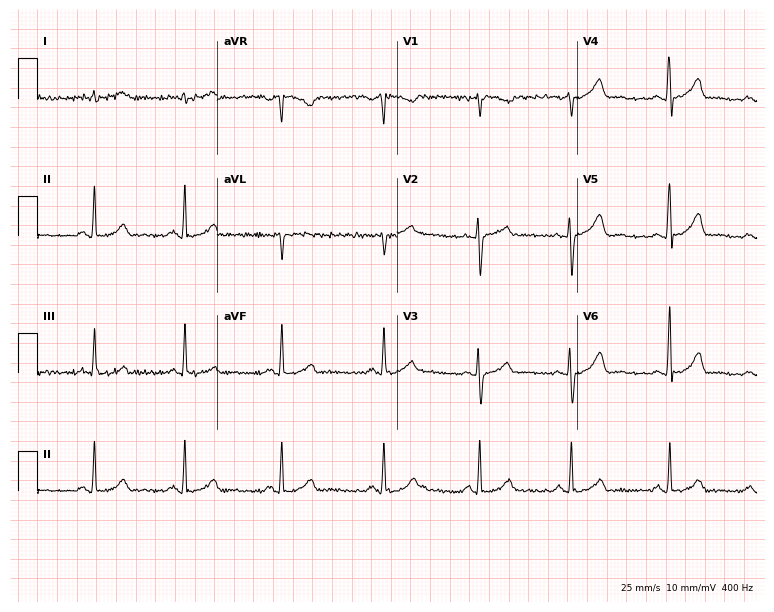
Standard 12-lead ECG recorded from a female, 30 years old. Read as a normal ECG.